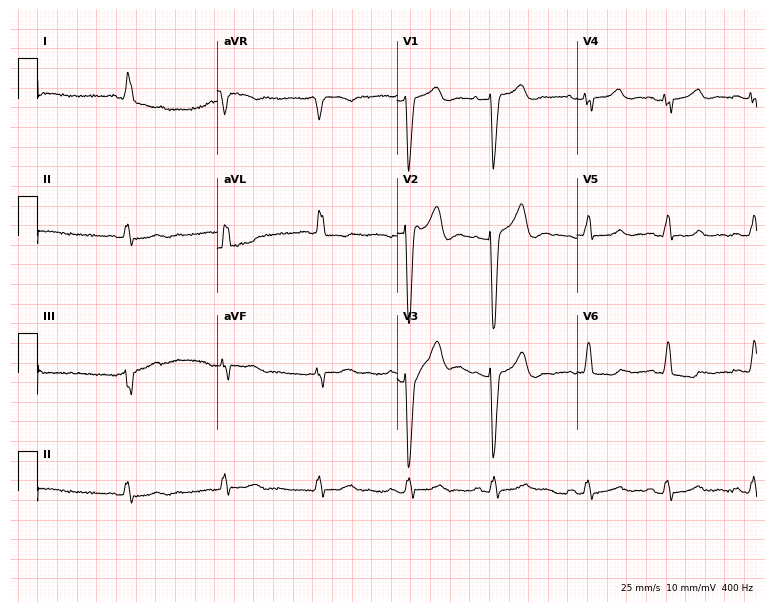
Standard 12-lead ECG recorded from a woman, 85 years old (7.3-second recording at 400 Hz). None of these six findings is recorded: first-degree AV block, right bundle branch block, left bundle branch block, sinus bradycardia, atrial fibrillation, sinus tachycardia.